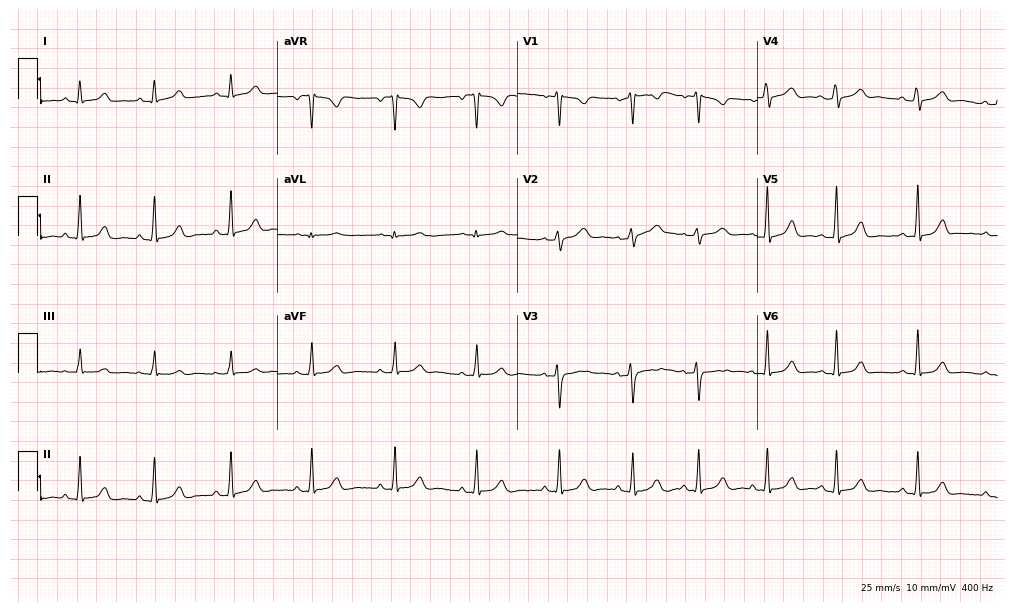
Standard 12-lead ECG recorded from a 25-year-old female (9.8-second recording at 400 Hz). Read as a normal ECG.